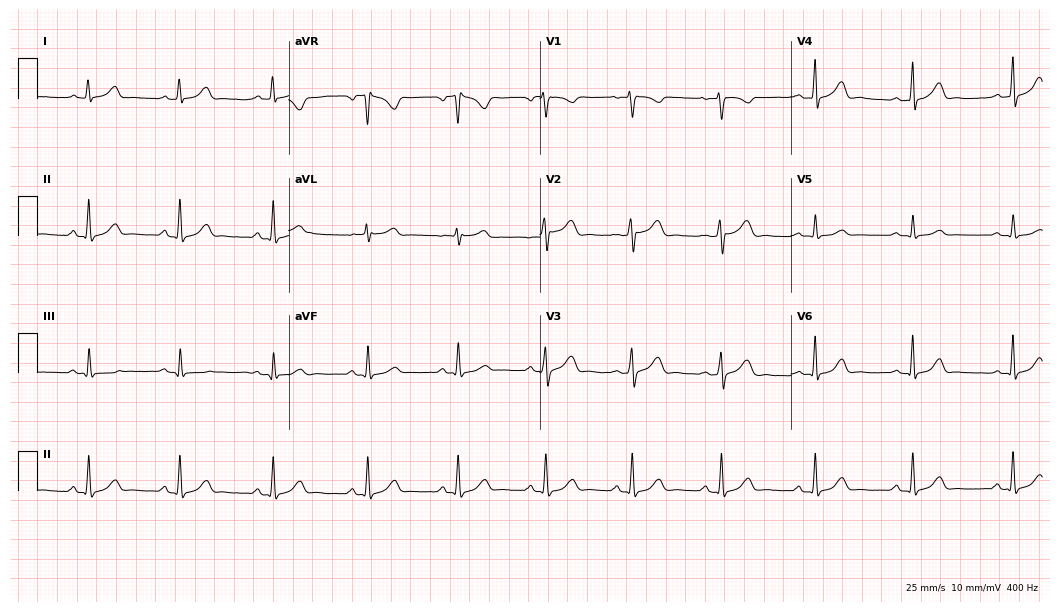
Standard 12-lead ECG recorded from a female, 30 years old (10.2-second recording at 400 Hz). Read as a normal ECG.